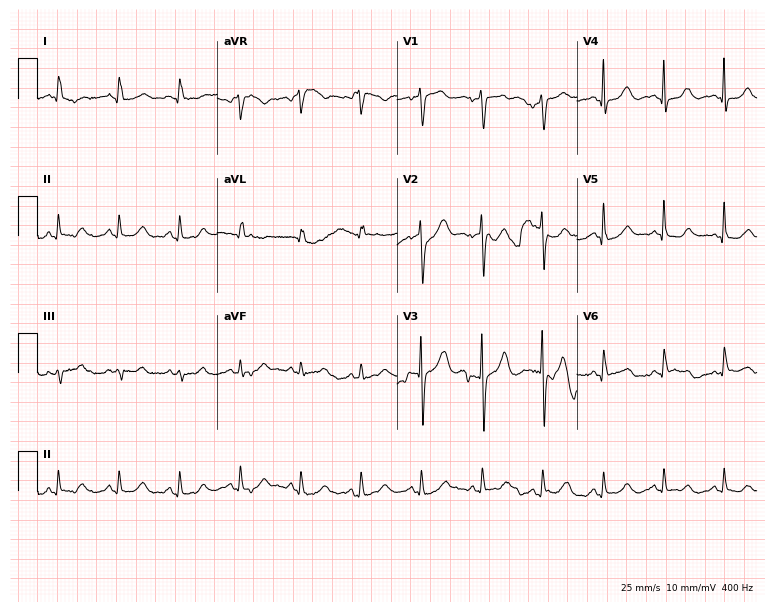
ECG (7.3-second recording at 400 Hz) — an 83-year-old female patient. Screened for six findings — first-degree AV block, right bundle branch block, left bundle branch block, sinus bradycardia, atrial fibrillation, sinus tachycardia — none is recorded.